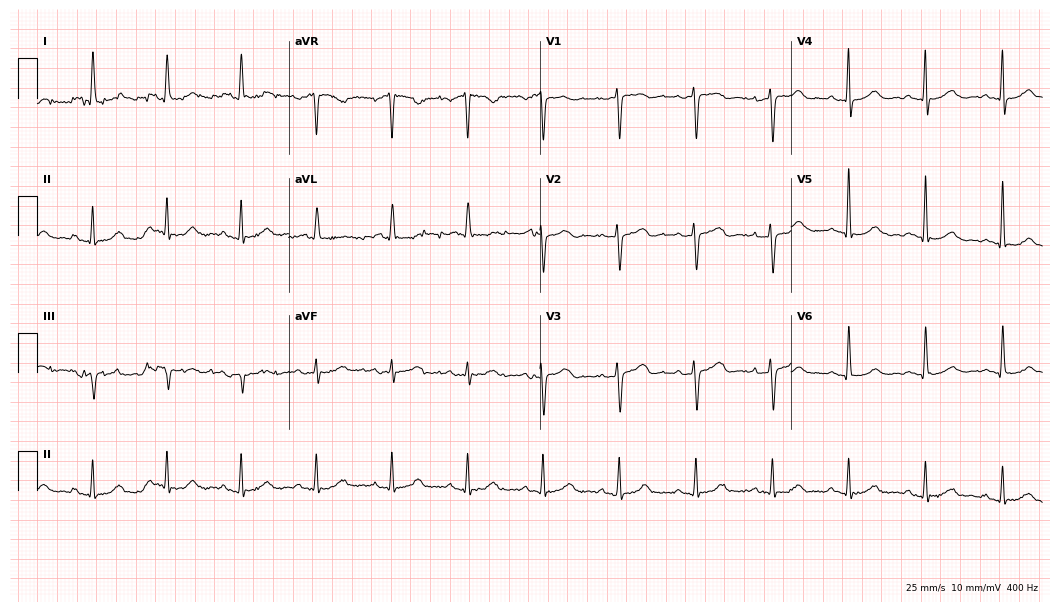
Standard 12-lead ECG recorded from a 66-year-old woman. Read as a normal ECG.